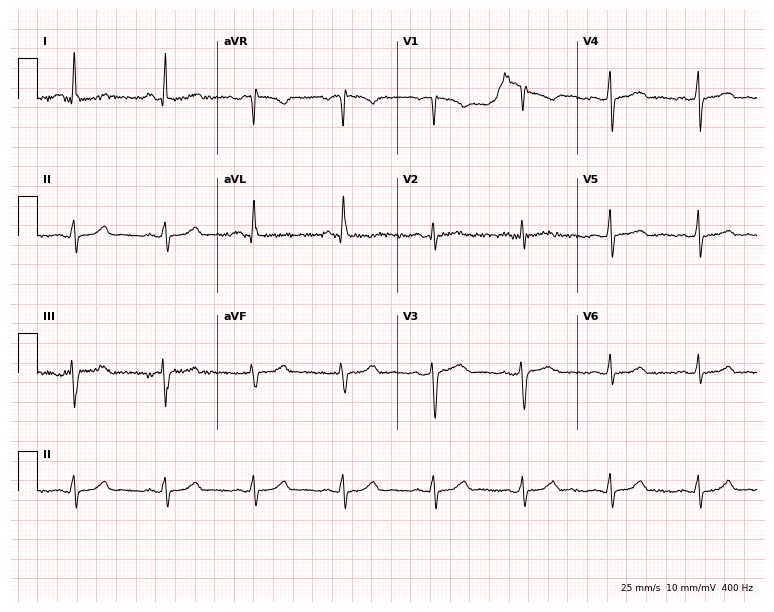
Standard 12-lead ECG recorded from a 52-year-old female. None of these six findings is recorded: first-degree AV block, right bundle branch block (RBBB), left bundle branch block (LBBB), sinus bradycardia, atrial fibrillation (AF), sinus tachycardia. Only these six findings were labelled.